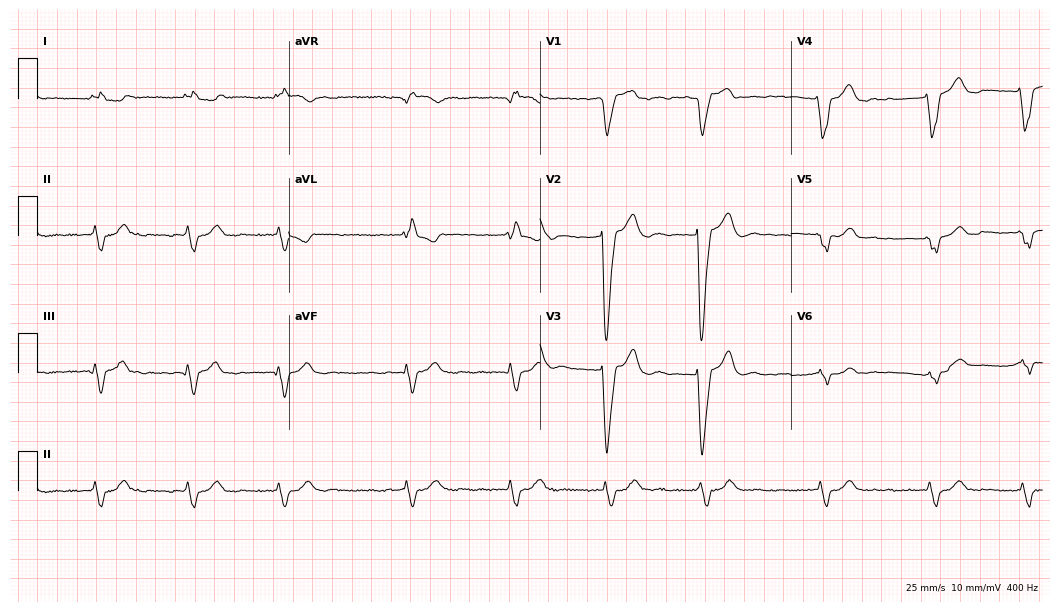
Resting 12-lead electrocardiogram. Patient: a 71-year-old female. The tracing shows left bundle branch block, atrial fibrillation.